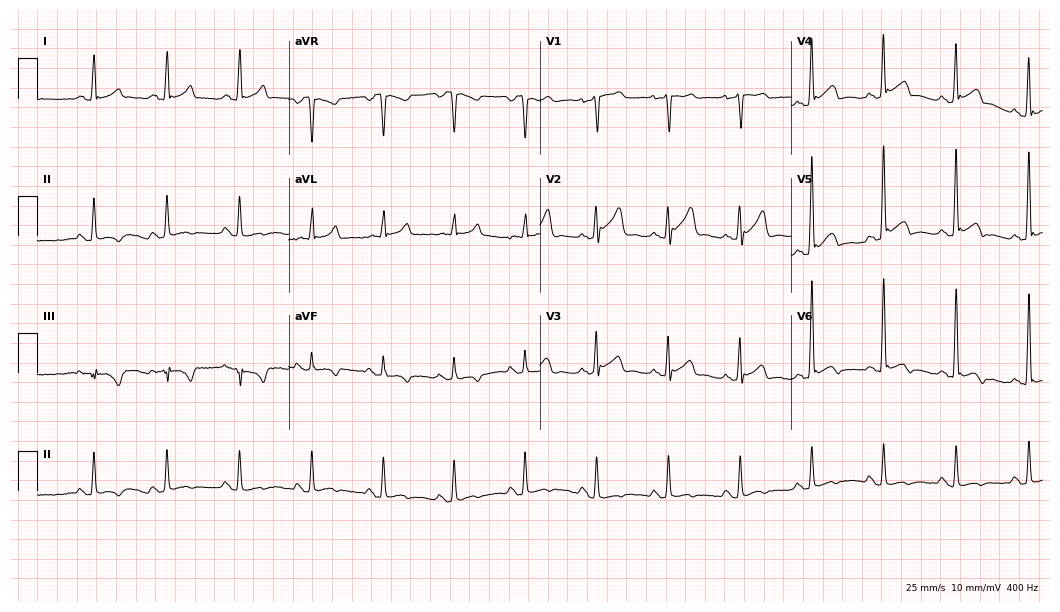
Standard 12-lead ECG recorded from a 30-year-old male patient (10.2-second recording at 400 Hz). None of these six findings is recorded: first-degree AV block, right bundle branch block (RBBB), left bundle branch block (LBBB), sinus bradycardia, atrial fibrillation (AF), sinus tachycardia.